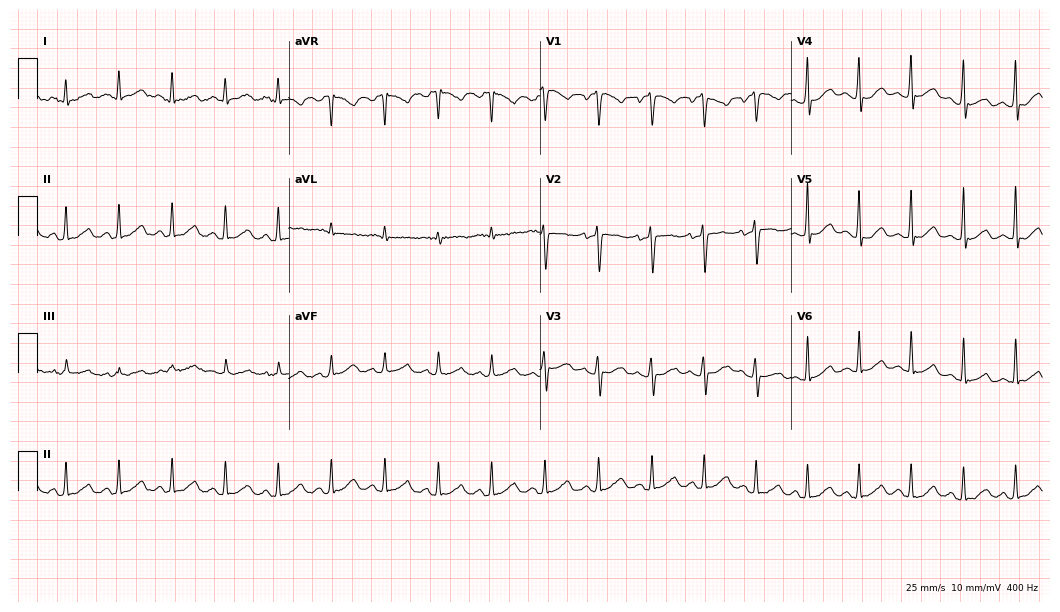
Standard 12-lead ECG recorded from a 40-year-old female patient (10.2-second recording at 400 Hz). The tracing shows sinus tachycardia (a sinus rate of 100 beats per minute or more).